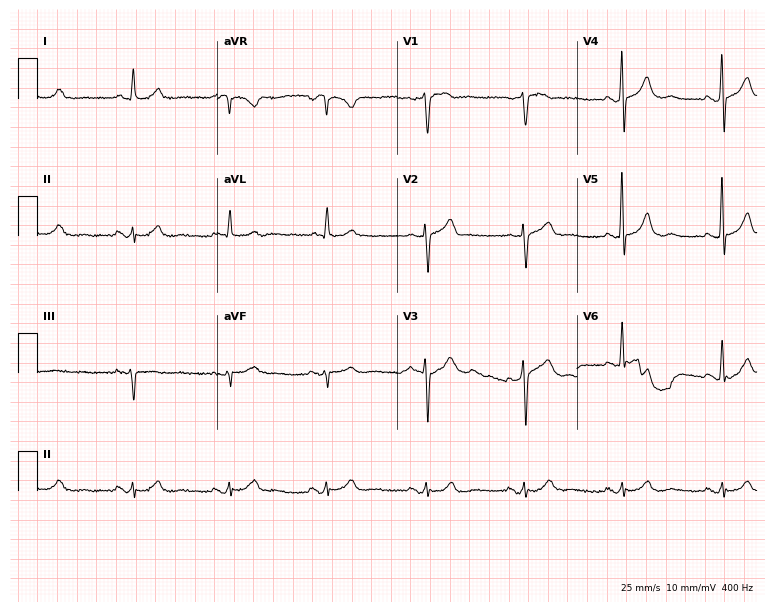
12-lead ECG (7.3-second recording at 400 Hz) from a male, 73 years old. Screened for six findings — first-degree AV block, right bundle branch block (RBBB), left bundle branch block (LBBB), sinus bradycardia, atrial fibrillation (AF), sinus tachycardia — none is recorded. Only these six findings were labelled.